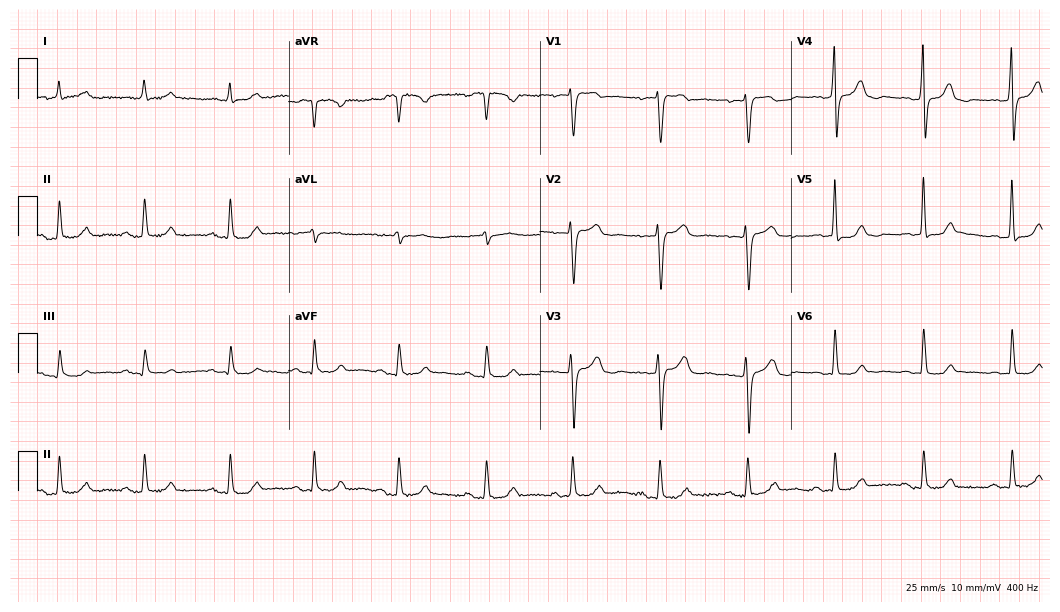
12-lead ECG from a female, 77 years old. Screened for six findings — first-degree AV block, right bundle branch block, left bundle branch block, sinus bradycardia, atrial fibrillation, sinus tachycardia — none is recorded.